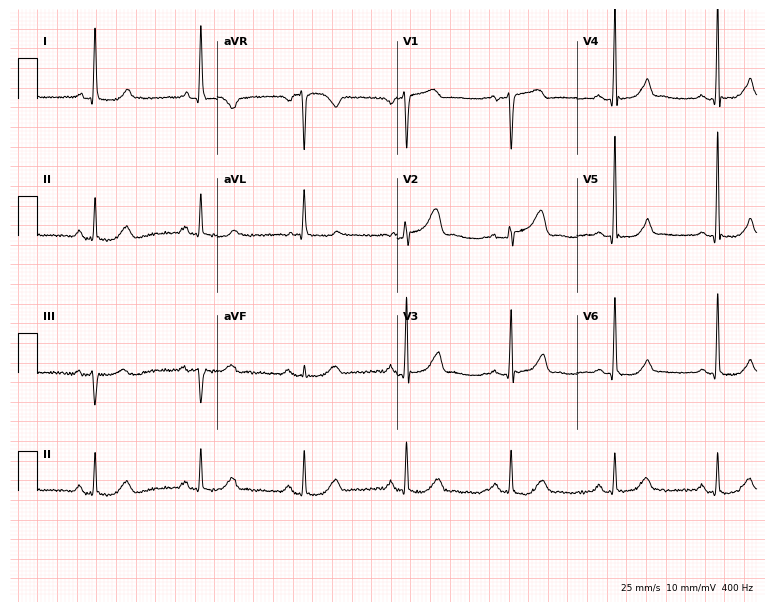
Electrocardiogram (7.3-second recording at 400 Hz), a 69-year-old woman. Of the six screened findings (first-degree AV block, right bundle branch block (RBBB), left bundle branch block (LBBB), sinus bradycardia, atrial fibrillation (AF), sinus tachycardia), none is recorded. Other findings, if any, are not listed.